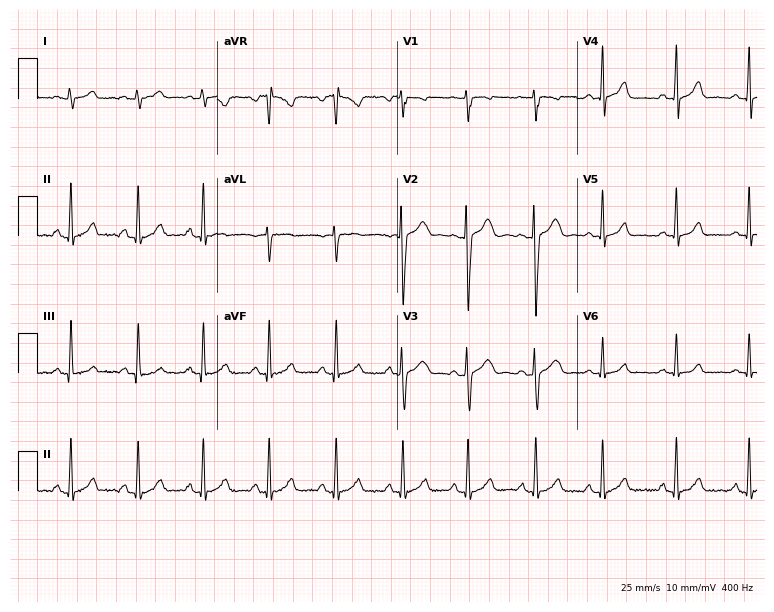
12-lead ECG from a 21-year-old female patient. Recorded interpretation: within normal limits.